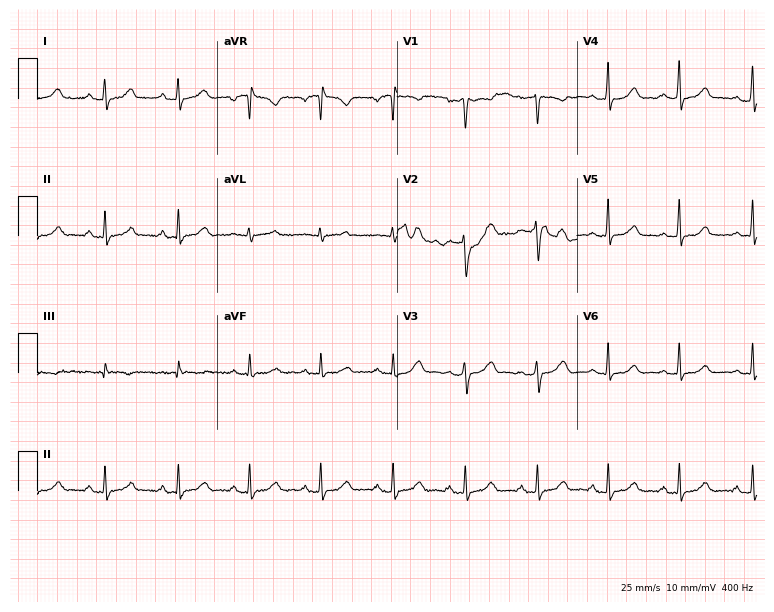
12-lead ECG from a woman, 26 years old. Screened for six findings — first-degree AV block, right bundle branch block, left bundle branch block, sinus bradycardia, atrial fibrillation, sinus tachycardia — none is recorded.